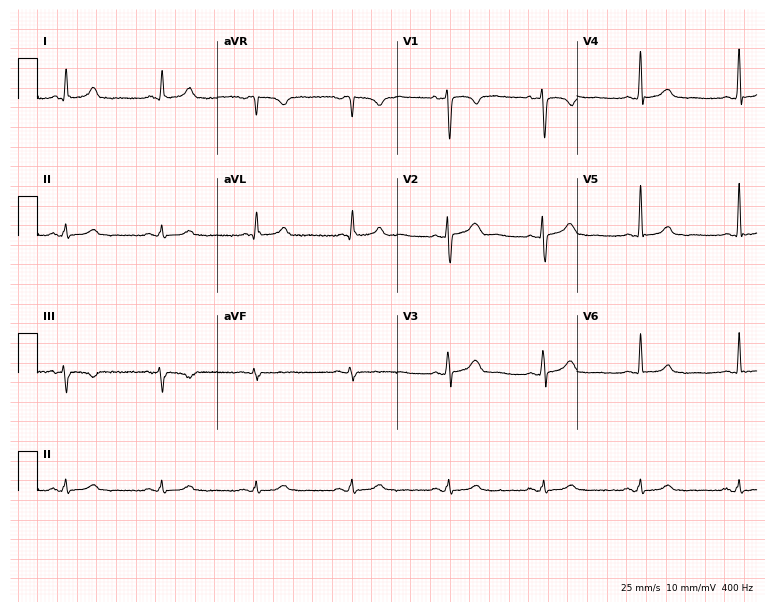
ECG (7.3-second recording at 400 Hz) — a female patient, 41 years old. Labelled as a normal ECG.